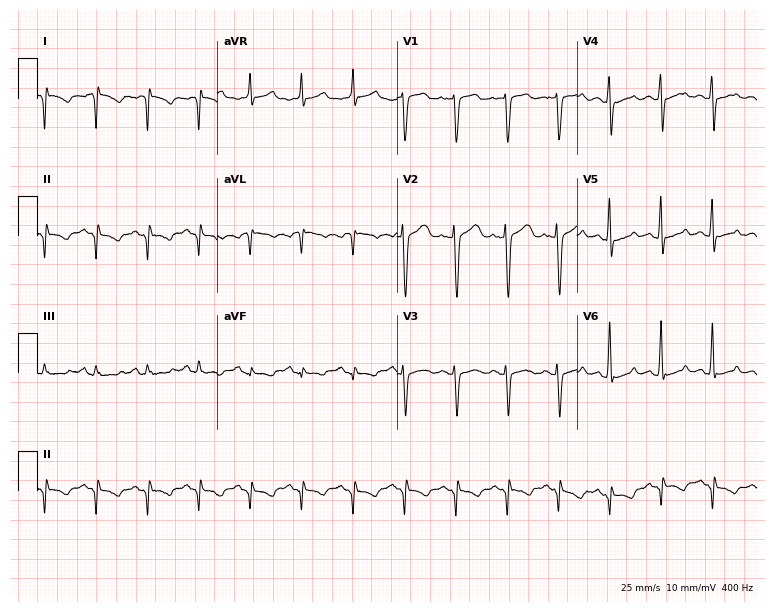
12-lead ECG from a female patient, 85 years old. No first-degree AV block, right bundle branch block, left bundle branch block, sinus bradycardia, atrial fibrillation or sinus tachycardia recorded for this tracing.